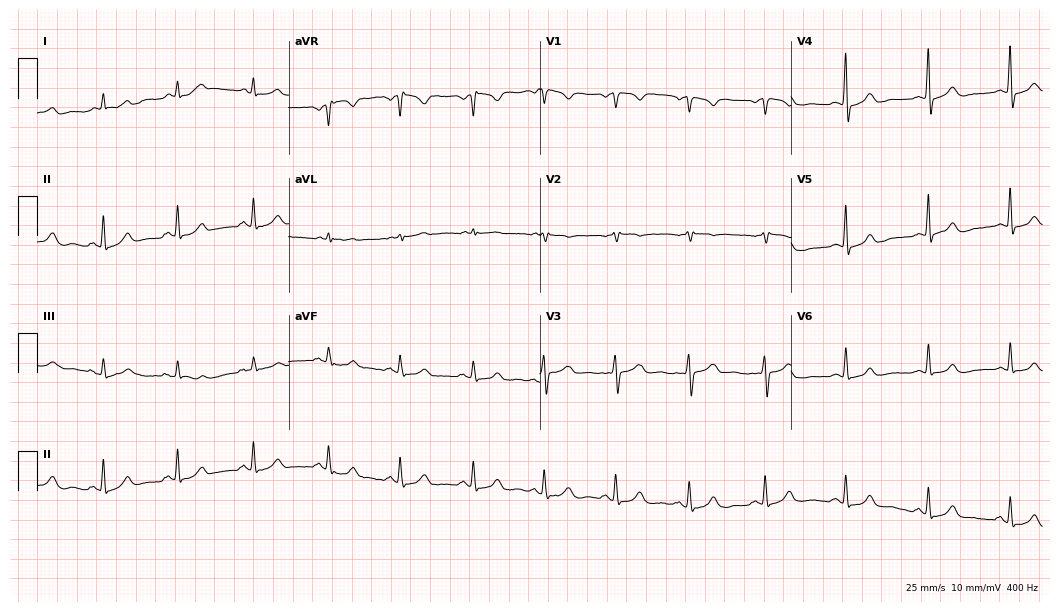
Standard 12-lead ECG recorded from a 40-year-old female. Read as a normal ECG.